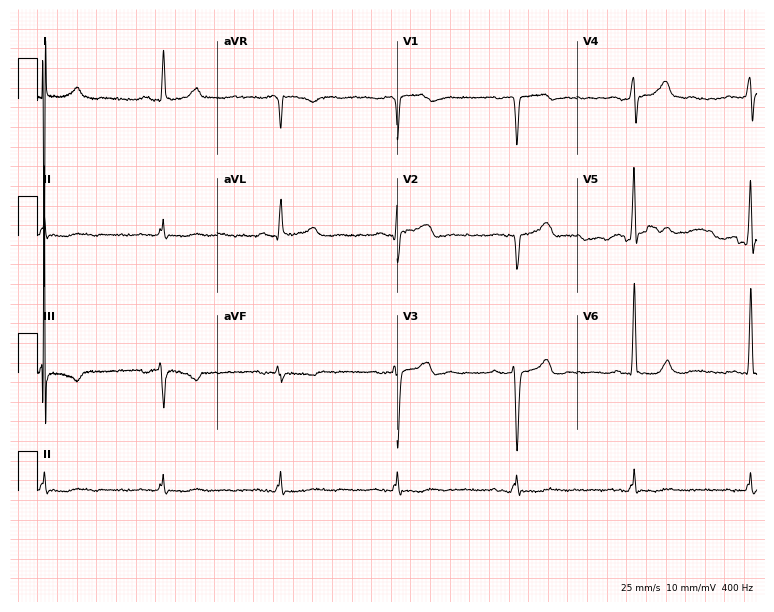
12-lead ECG from a man, 70 years old. Screened for six findings — first-degree AV block, right bundle branch block, left bundle branch block, sinus bradycardia, atrial fibrillation, sinus tachycardia — none is recorded.